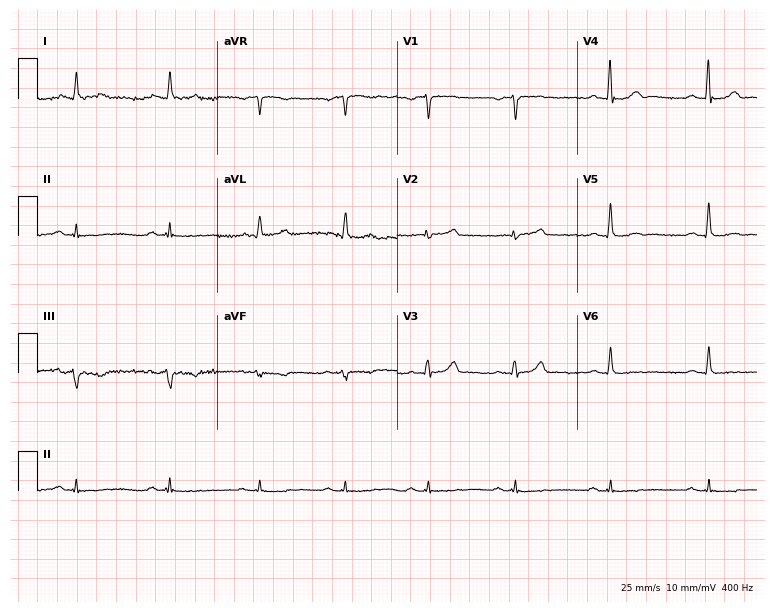
12-lead ECG from a male, 71 years old. Screened for six findings — first-degree AV block, right bundle branch block, left bundle branch block, sinus bradycardia, atrial fibrillation, sinus tachycardia — none is recorded. Only these six findings were labelled.